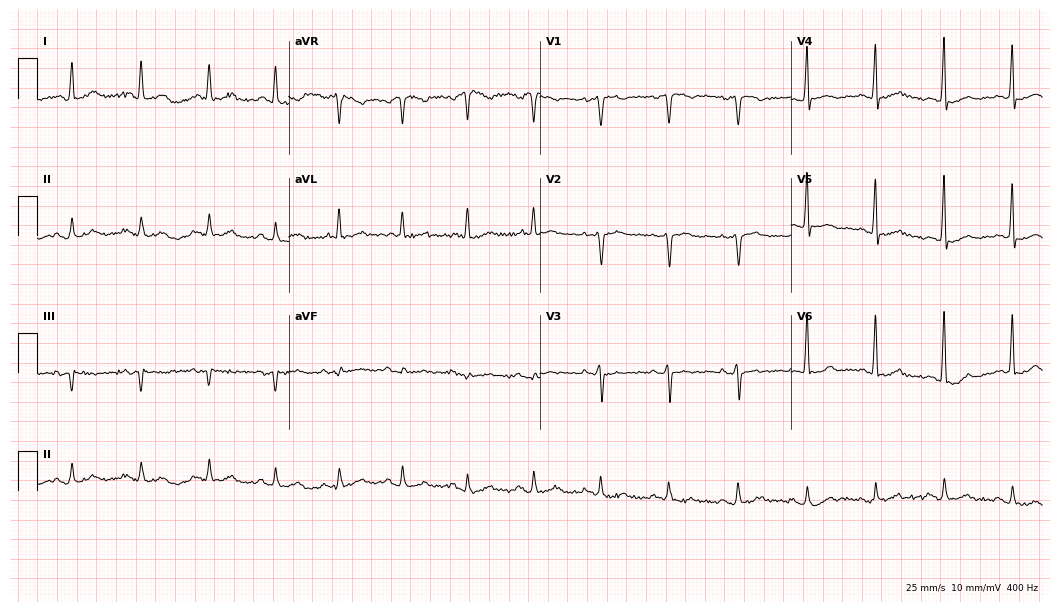
12-lead ECG (10.2-second recording at 400 Hz) from an 81-year-old man. Screened for six findings — first-degree AV block, right bundle branch block, left bundle branch block, sinus bradycardia, atrial fibrillation, sinus tachycardia — none is recorded.